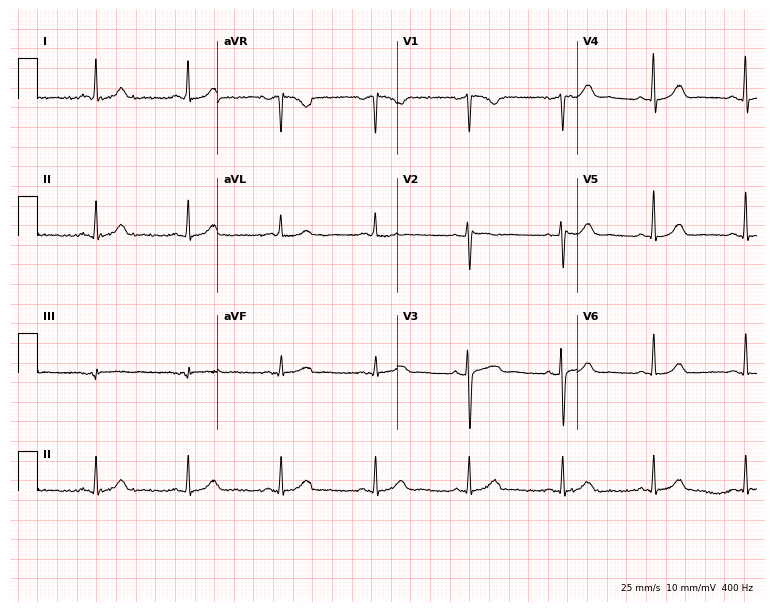
Resting 12-lead electrocardiogram (7.3-second recording at 400 Hz). Patient: a female, 50 years old. Read as a normal ECG.